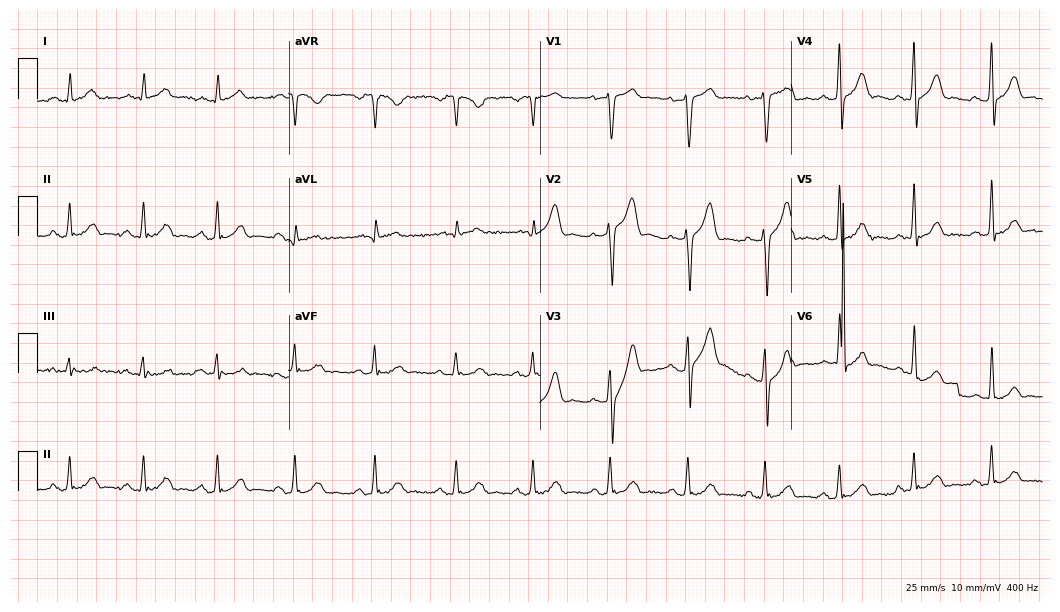
12-lead ECG (10.2-second recording at 400 Hz) from a 39-year-old man. Labelled as a normal ECG.